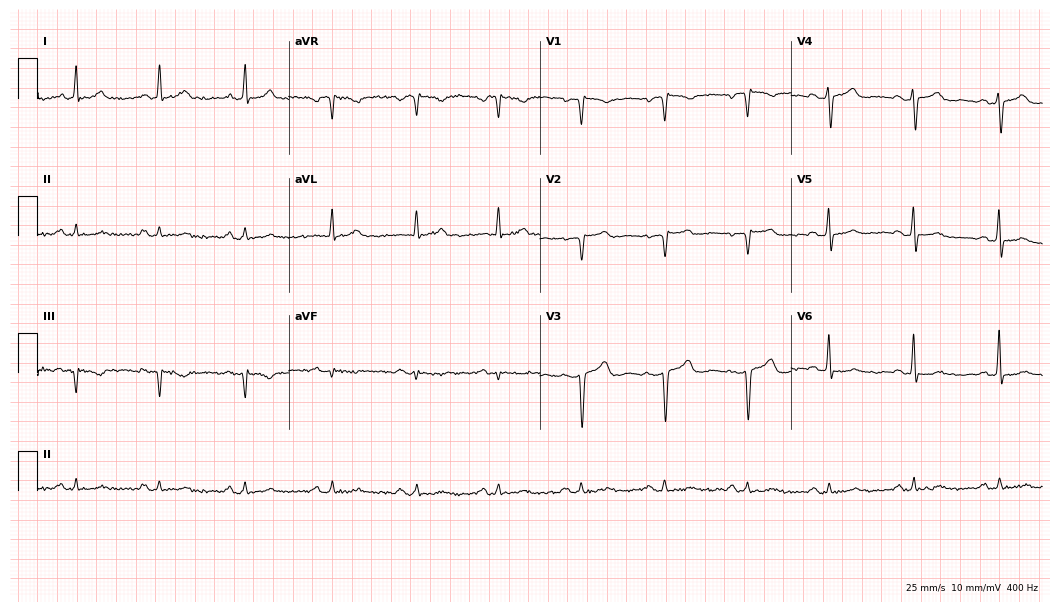
Standard 12-lead ECG recorded from a female, 61 years old. None of these six findings is recorded: first-degree AV block, right bundle branch block, left bundle branch block, sinus bradycardia, atrial fibrillation, sinus tachycardia.